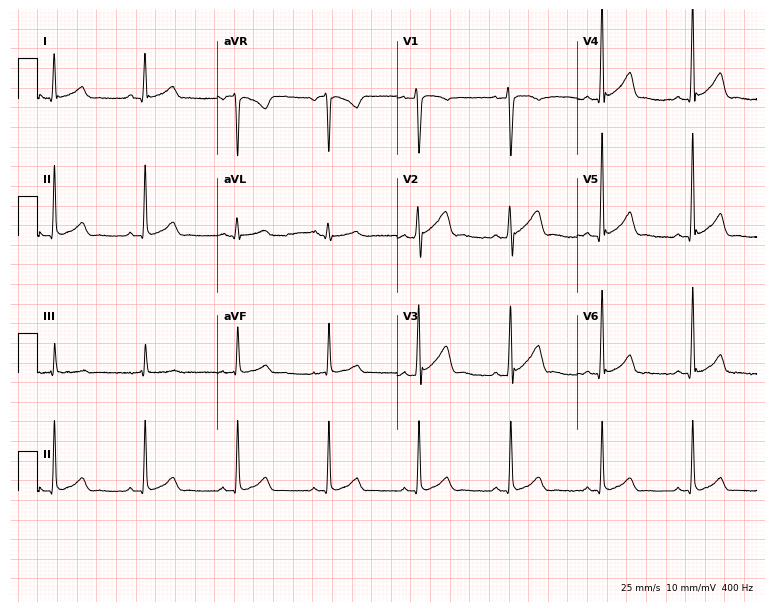
Standard 12-lead ECG recorded from a male, 39 years old. Read as a normal ECG.